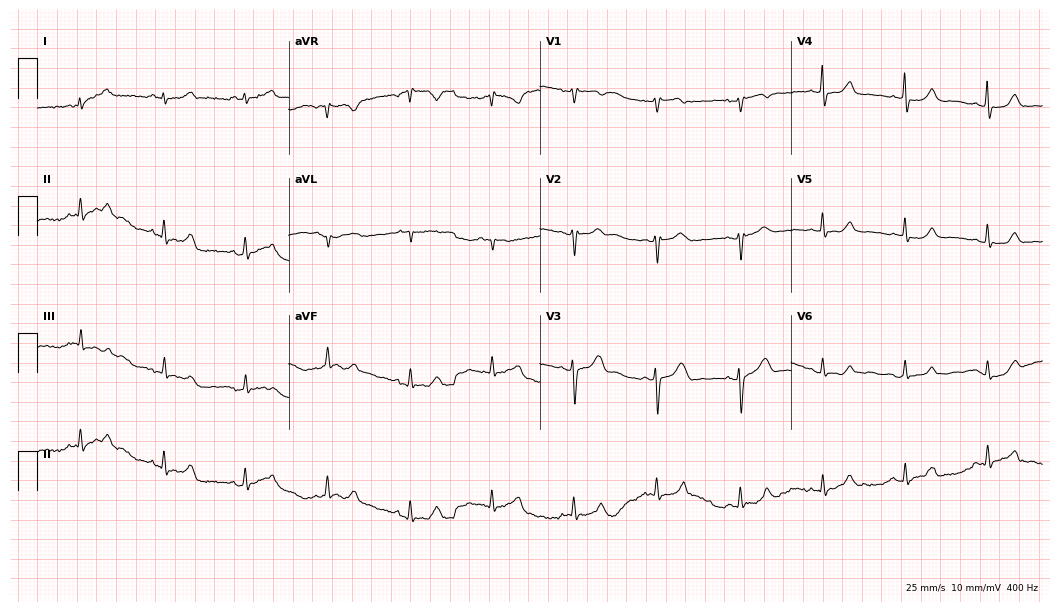
Standard 12-lead ECG recorded from a female, 35 years old. None of these six findings is recorded: first-degree AV block, right bundle branch block (RBBB), left bundle branch block (LBBB), sinus bradycardia, atrial fibrillation (AF), sinus tachycardia. Only these six findings were labelled.